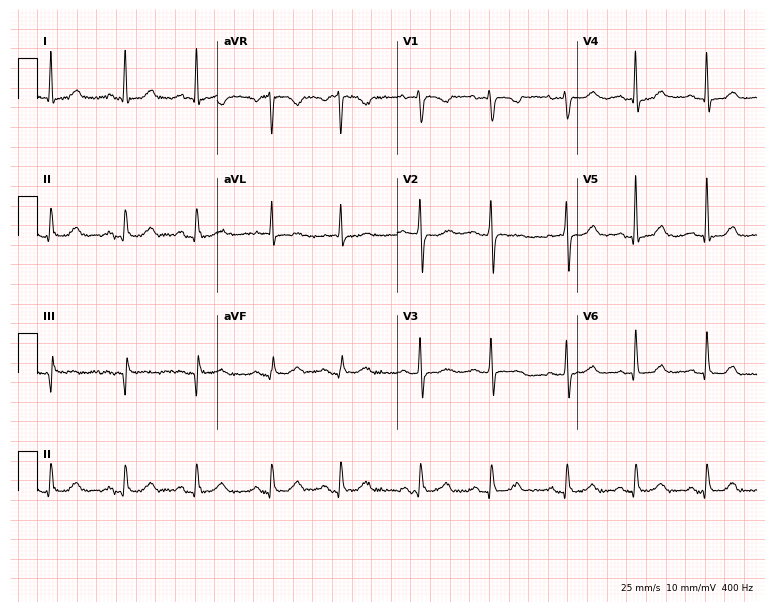
ECG (7.3-second recording at 400 Hz) — a woman, 70 years old. Screened for six findings — first-degree AV block, right bundle branch block (RBBB), left bundle branch block (LBBB), sinus bradycardia, atrial fibrillation (AF), sinus tachycardia — none is recorded.